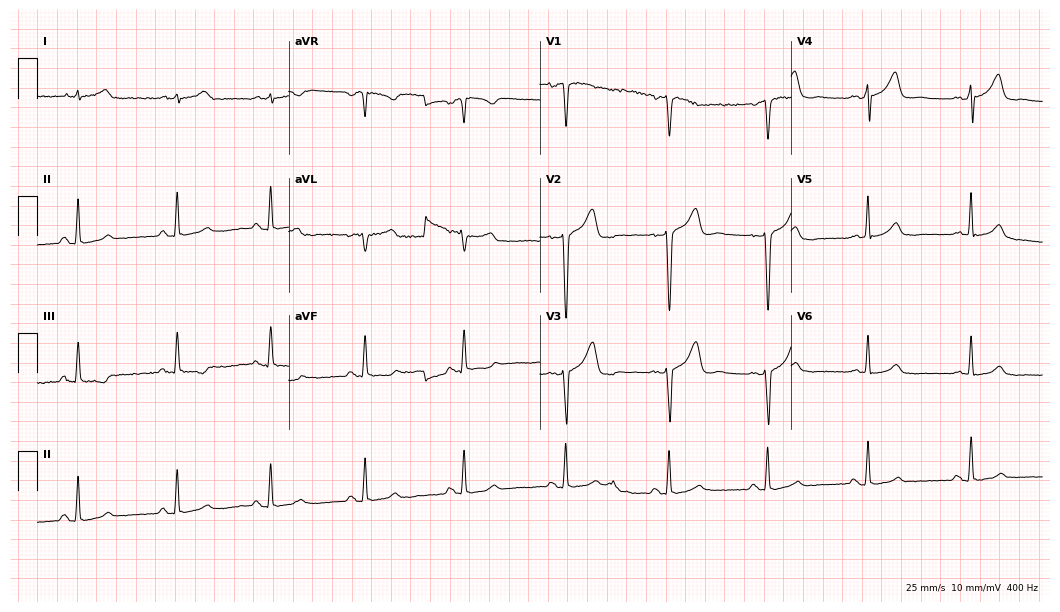
12-lead ECG (10.2-second recording at 400 Hz) from a man, 57 years old. Screened for six findings — first-degree AV block, right bundle branch block (RBBB), left bundle branch block (LBBB), sinus bradycardia, atrial fibrillation (AF), sinus tachycardia — none is recorded. Only these six findings were labelled.